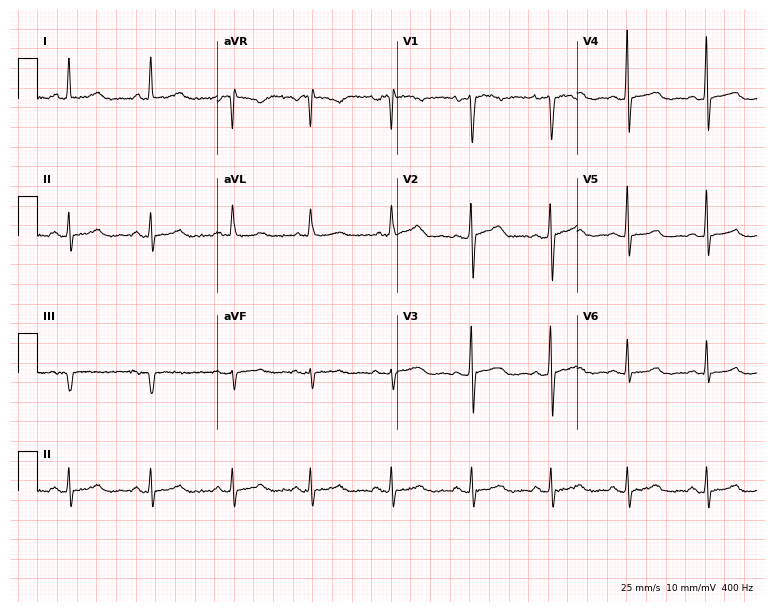
ECG (7.3-second recording at 400 Hz) — a 58-year-old female patient. Screened for six findings — first-degree AV block, right bundle branch block, left bundle branch block, sinus bradycardia, atrial fibrillation, sinus tachycardia — none is recorded.